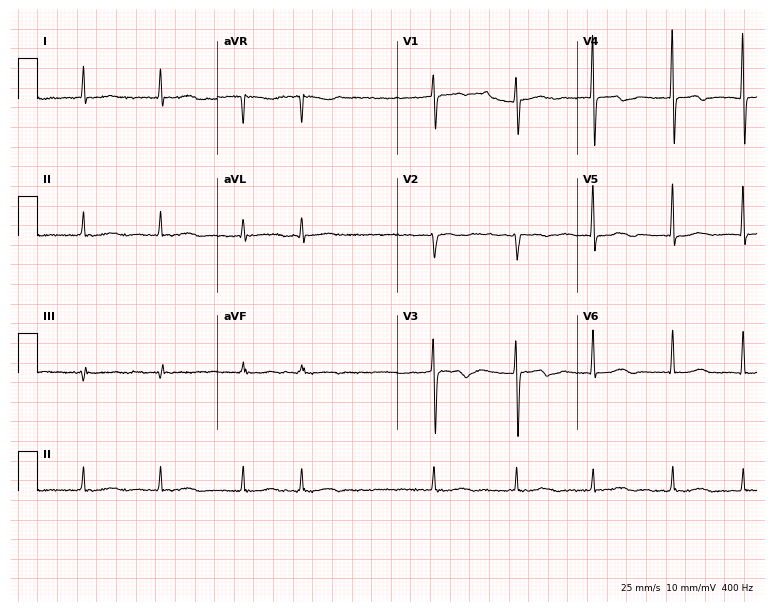
Electrocardiogram, an 85-year-old female patient. Interpretation includes atrial fibrillation (AF).